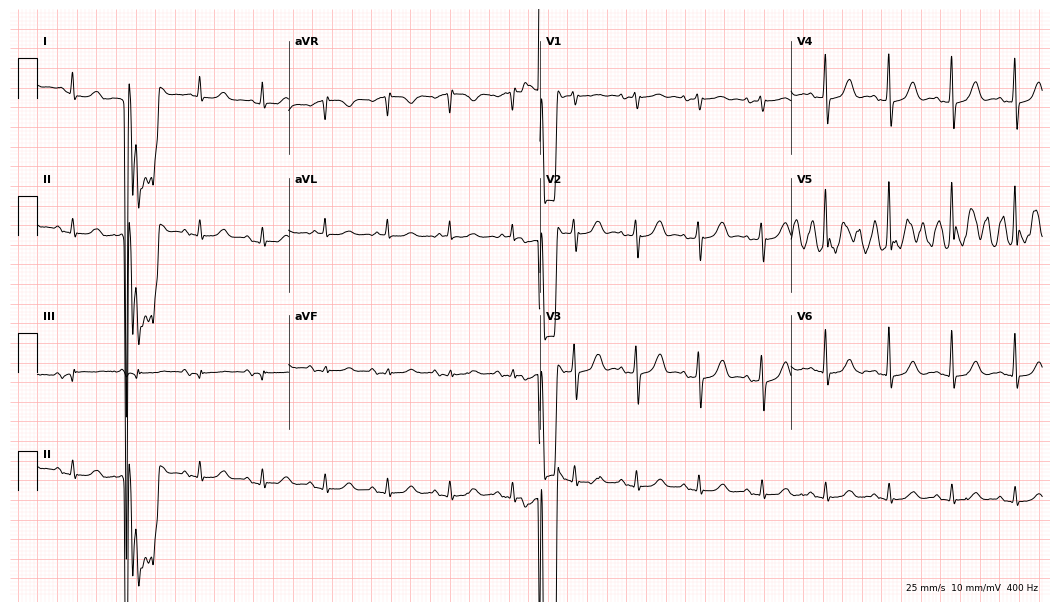
12-lead ECG from a man, 77 years old (10.2-second recording at 400 Hz). No first-degree AV block, right bundle branch block (RBBB), left bundle branch block (LBBB), sinus bradycardia, atrial fibrillation (AF) or sinus tachycardia recorded for this tracing.